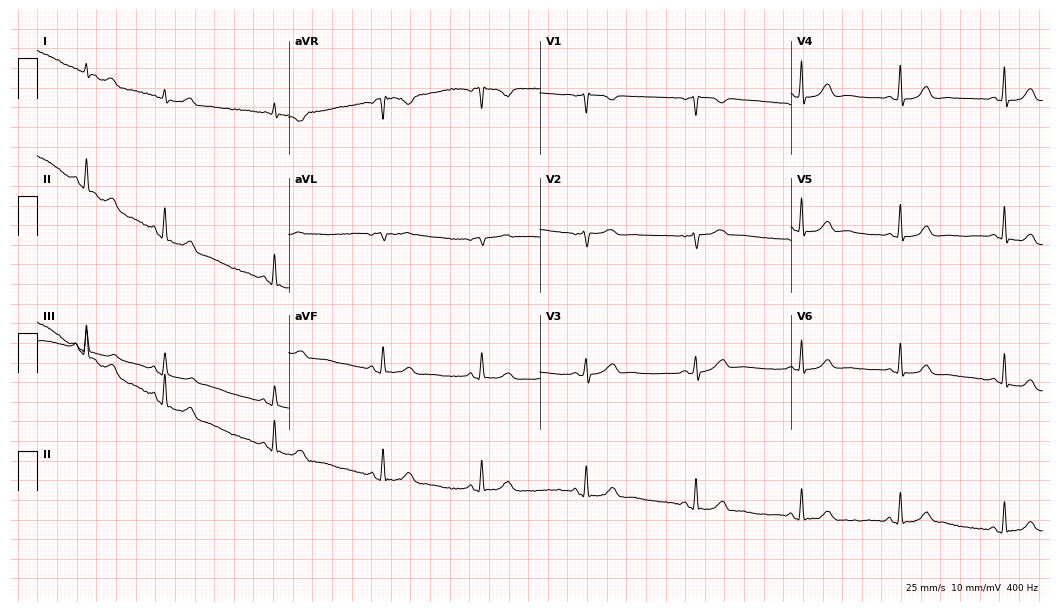
ECG — a 47-year-old woman. Screened for six findings — first-degree AV block, right bundle branch block (RBBB), left bundle branch block (LBBB), sinus bradycardia, atrial fibrillation (AF), sinus tachycardia — none is recorded. Only these six findings were labelled.